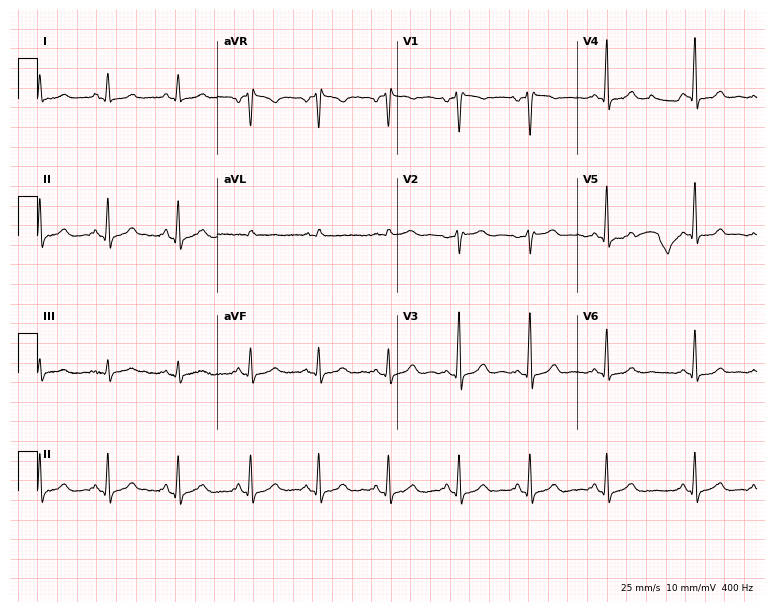
Resting 12-lead electrocardiogram. Patient: a female, 49 years old. None of these six findings is recorded: first-degree AV block, right bundle branch block (RBBB), left bundle branch block (LBBB), sinus bradycardia, atrial fibrillation (AF), sinus tachycardia. Other findings, if any, are not listed.